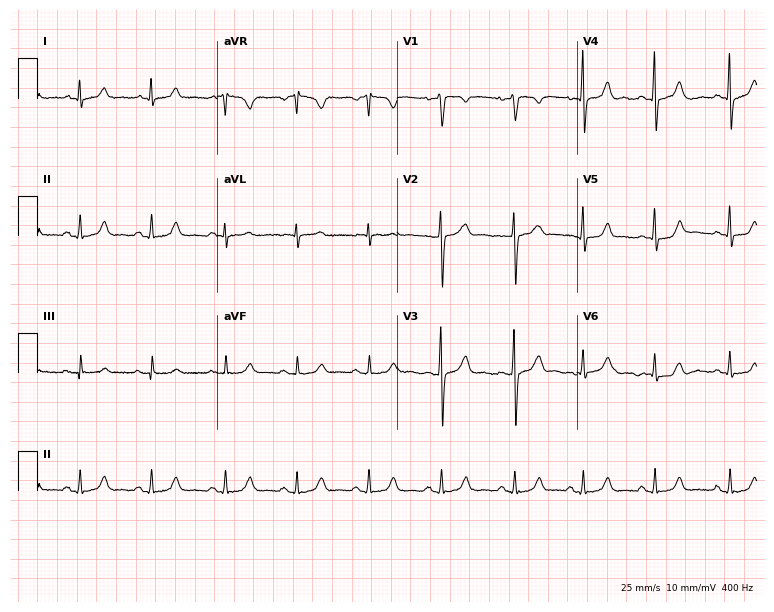
Standard 12-lead ECG recorded from a 36-year-old woman. Read as a normal ECG.